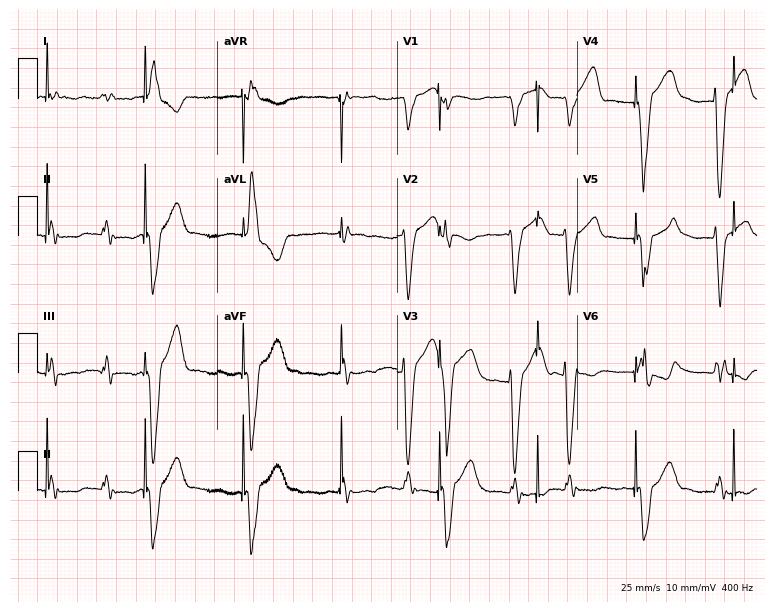
Electrocardiogram, a female patient, 71 years old. Of the six screened findings (first-degree AV block, right bundle branch block, left bundle branch block, sinus bradycardia, atrial fibrillation, sinus tachycardia), none is recorded.